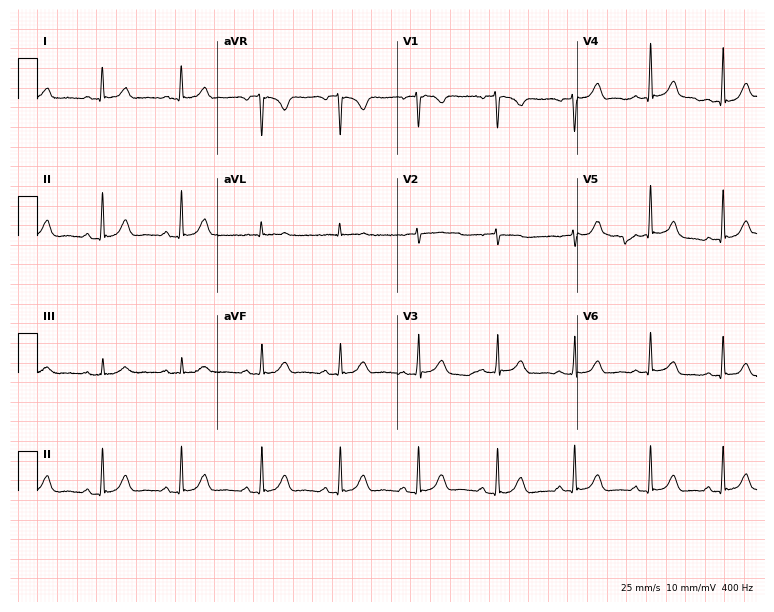
12-lead ECG from a 55-year-old female patient (7.3-second recording at 400 Hz). Recorded interpretation: within normal limits.